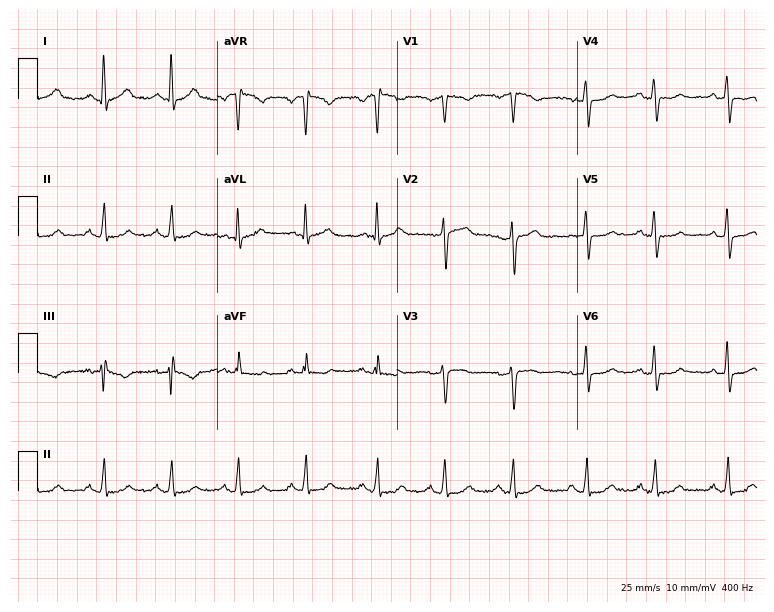
12-lead ECG (7.3-second recording at 400 Hz) from a female patient, 52 years old. Labelled as a normal ECG.